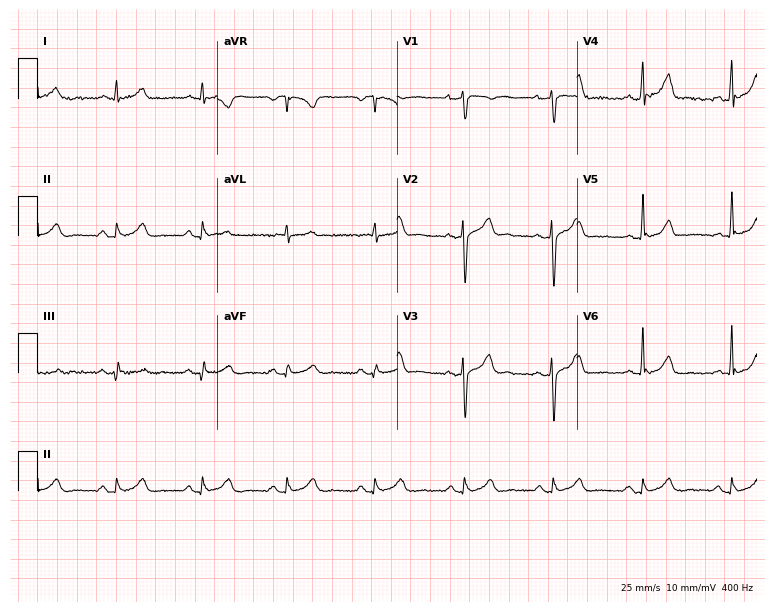
12-lead ECG (7.3-second recording at 400 Hz) from a male patient, 38 years old. Labelled as a normal ECG.